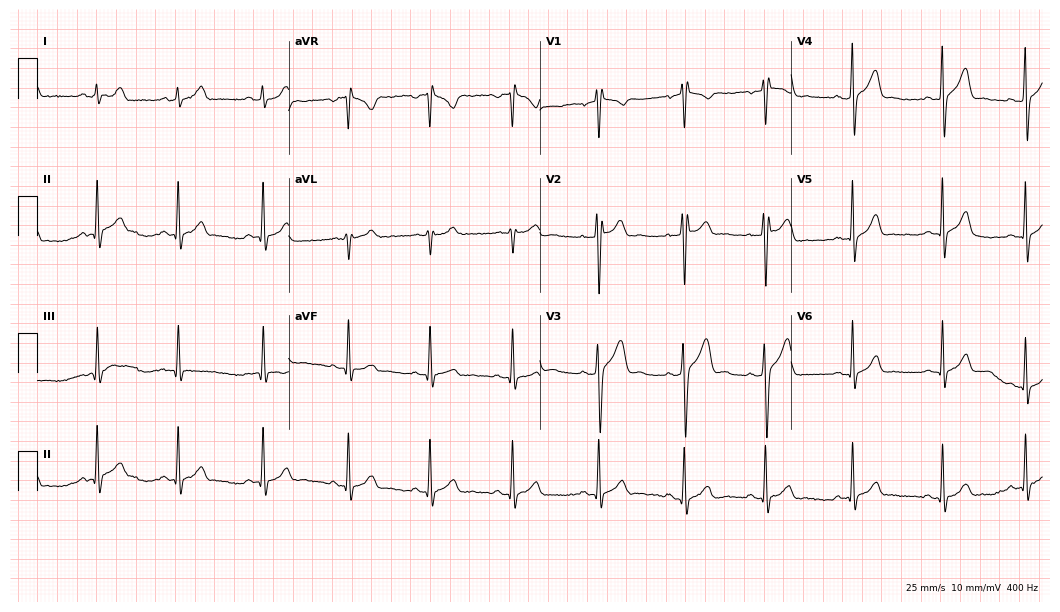
12-lead ECG from a male patient, 20 years old. No first-degree AV block, right bundle branch block, left bundle branch block, sinus bradycardia, atrial fibrillation or sinus tachycardia recorded for this tracing.